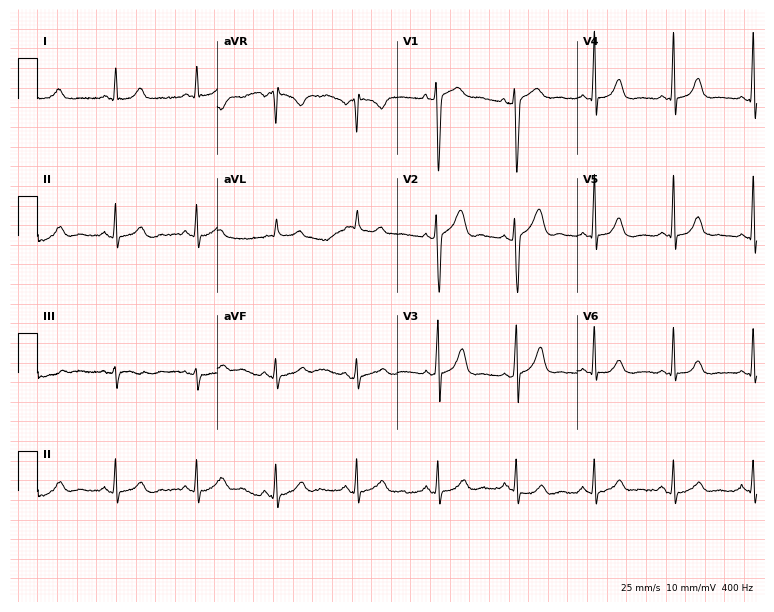
12-lead ECG (7.3-second recording at 400 Hz) from a woman, 50 years old. Labelled as a normal ECG.